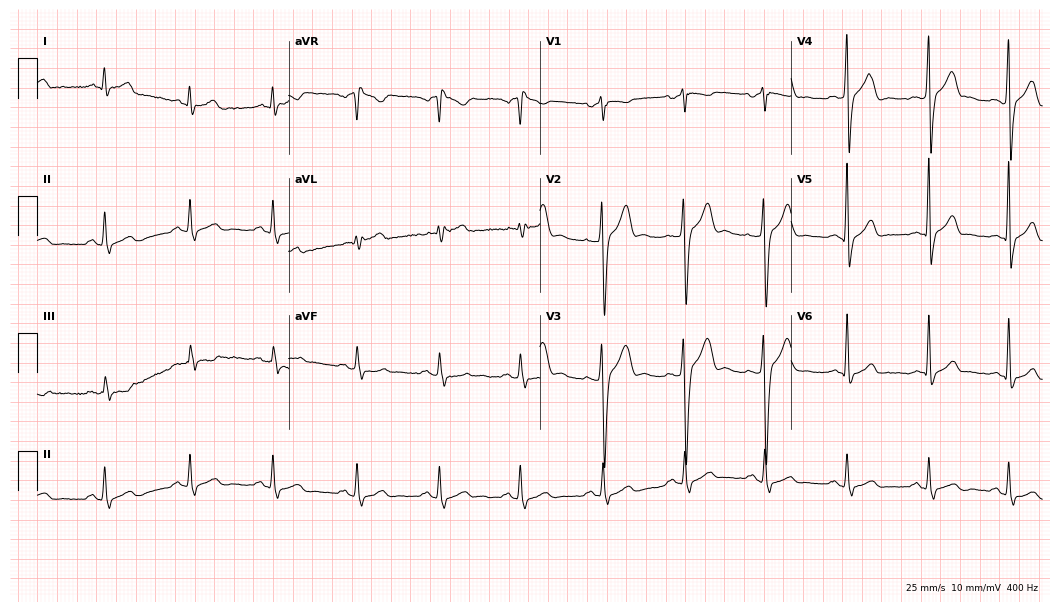
12-lead ECG from a 38-year-old man. Screened for six findings — first-degree AV block, right bundle branch block, left bundle branch block, sinus bradycardia, atrial fibrillation, sinus tachycardia — none is recorded. Findings outside these six are not listed.